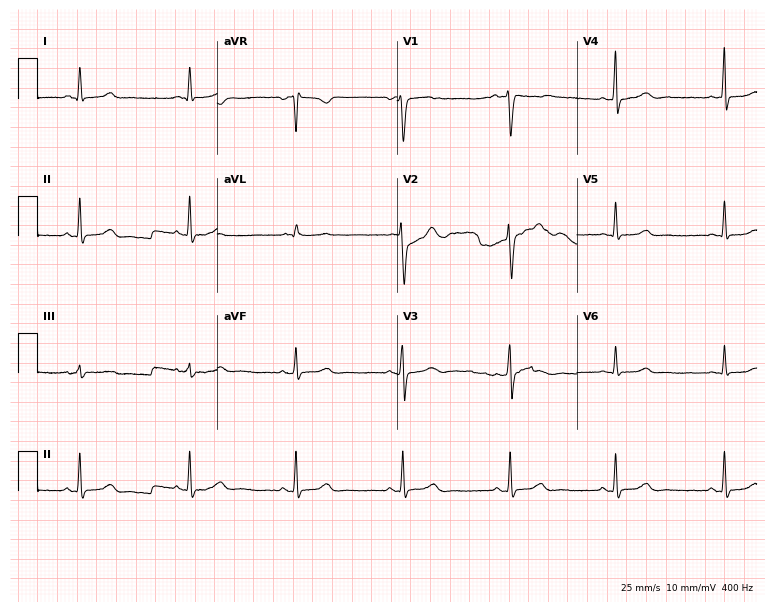
Resting 12-lead electrocardiogram. Patient: a female, 47 years old. None of these six findings is recorded: first-degree AV block, right bundle branch block, left bundle branch block, sinus bradycardia, atrial fibrillation, sinus tachycardia.